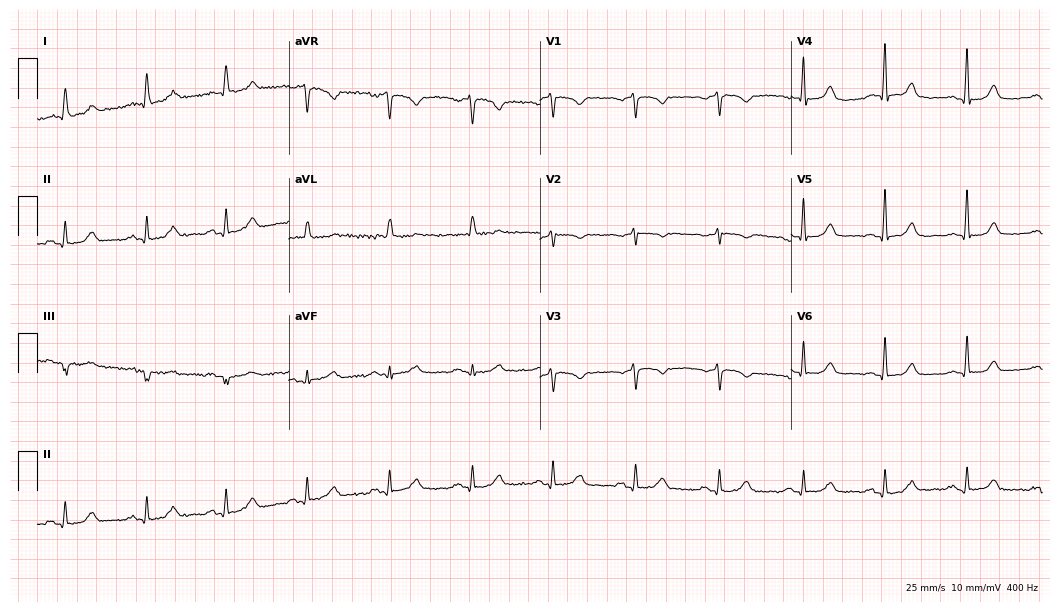
12-lead ECG from a female, 66 years old. Recorded interpretation: within normal limits.